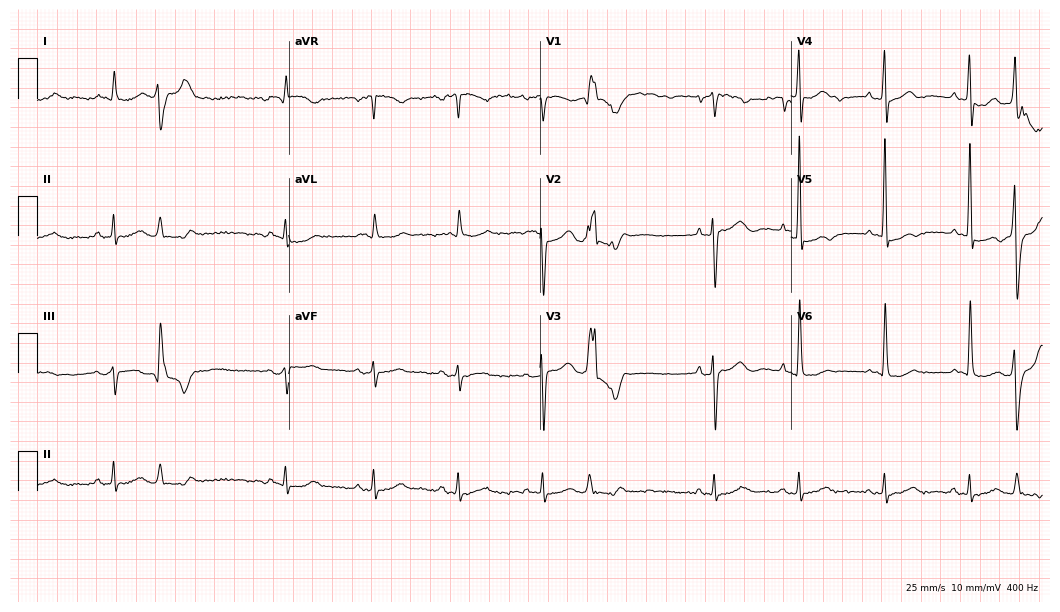
ECG (10.2-second recording at 400 Hz) — a female patient, 83 years old. Screened for six findings — first-degree AV block, right bundle branch block, left bundle branch block, sinus bradycardia, atrial fibrillation, sinus tachycardia — none is recorded.